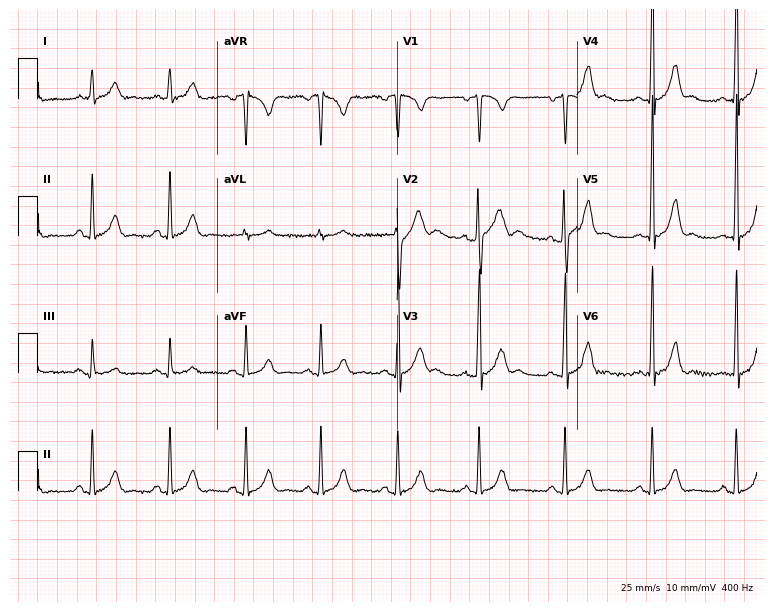
12-lead ECG from a 27-year-old man (7.3-second recording at 400 Hz). Recorded interpretation: within normal limits.